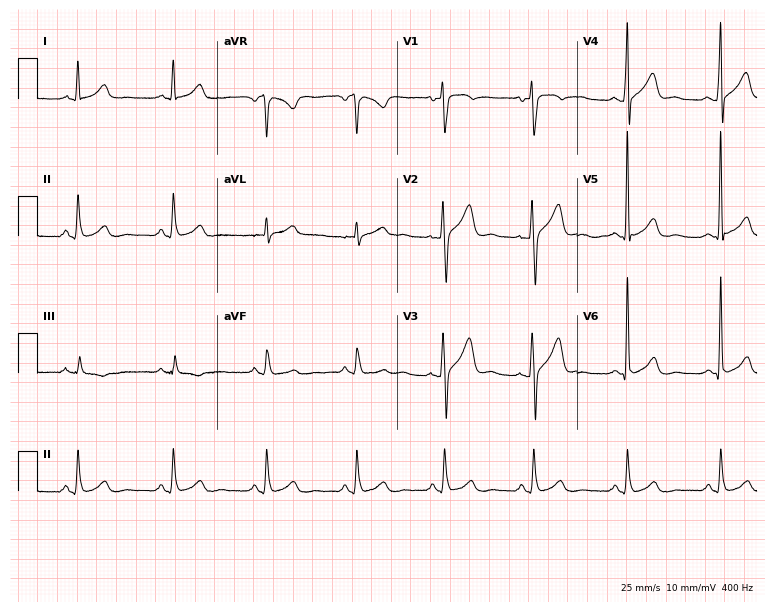
Standard 12-lead ECG recorded from a 35-year-old man (7.3-second recording at 400 Hz). None of these six findings is recorded: first-degree AV block, right bundle branch block, left bundle branch block, sinus bradycardia, atrial fibrillation, sinus tachycardia. Findings outside these six are not listed.